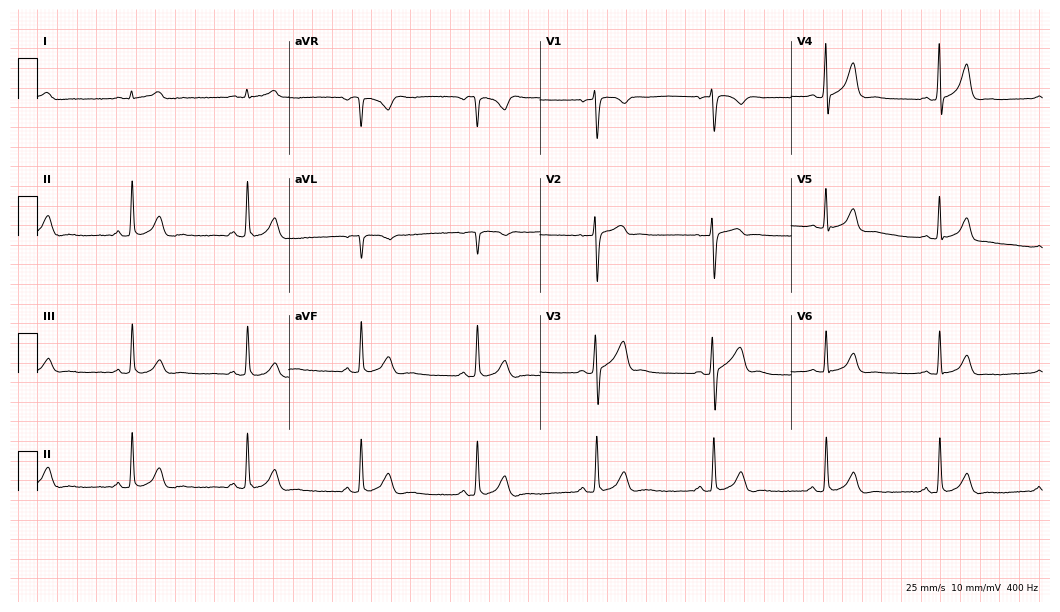
ECG — a man, 51 years old. Screened for six findings — first-degree AV block, right bundle branch block, left bundle branch block, sinus bradycardia, atrial fibrillation, sinus tachycardia — none is recorded. Other findings, if any, are not listed.